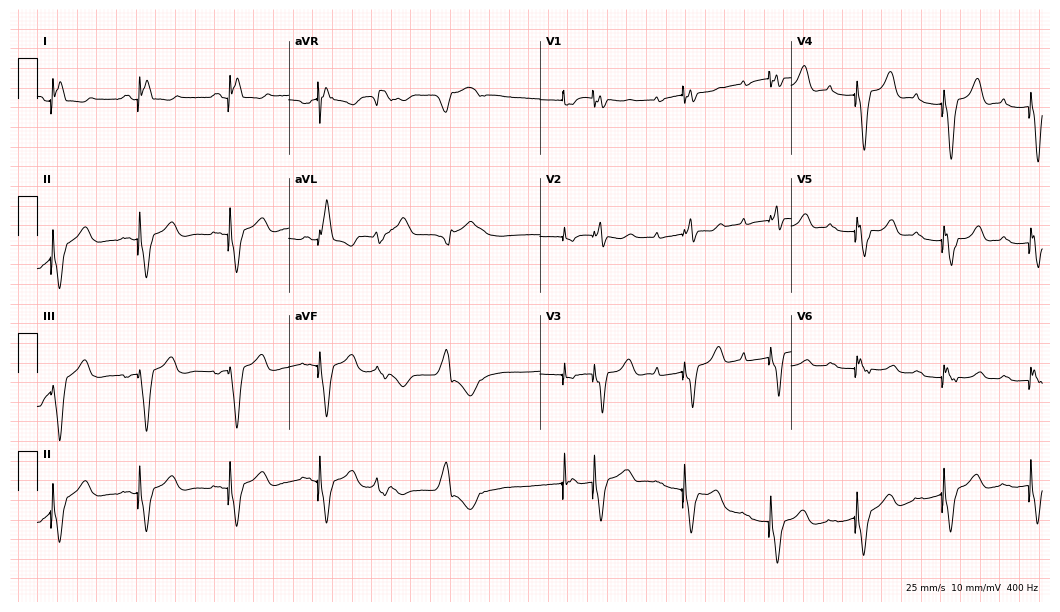
12-lead ECG from a woman, 52 years old. No first-degree AV block, right bundle branch block, left bundle branch block, sinus bradycardia, atrial fibrillation or sinus tachycardia recorded for this tracing. Only these six findings were labelled.